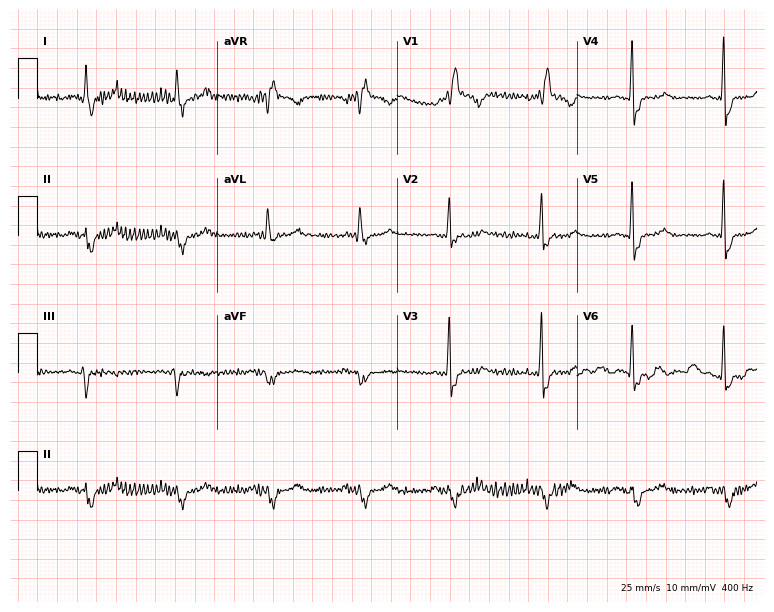
12-lead ECG from a female, 52 years old. Shows right bundle branch block.